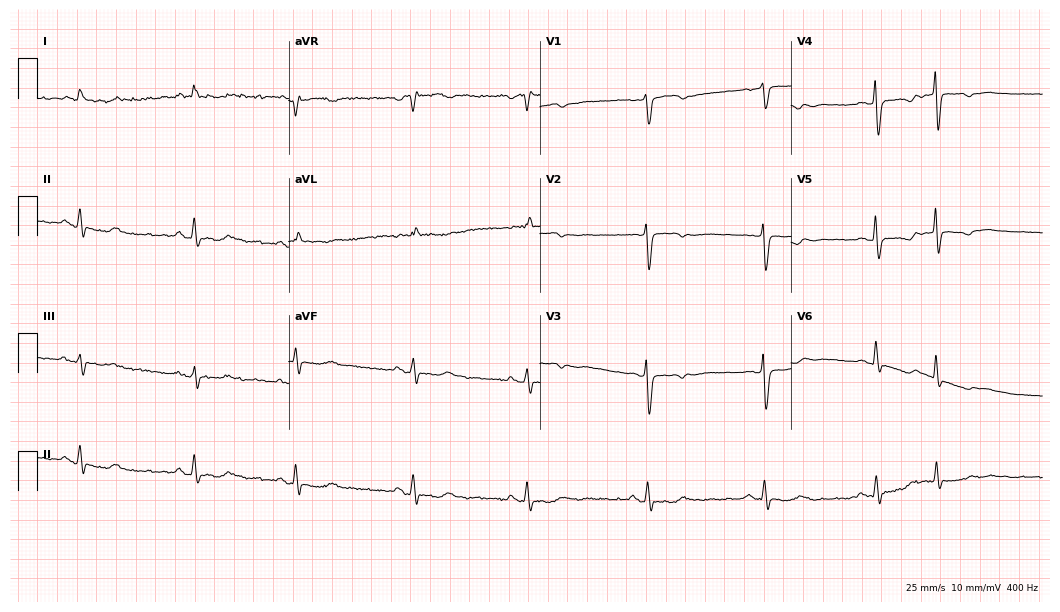
Standard 12-lead ECG recorded from a female patient, 81 years old. None of these six findings is recorded: first-degree AV block, right bundle branch block, left bundle branch block, sinus bradycardia, atrial fibrillation, sinus tachycardia. Findings outside these six are not listed.